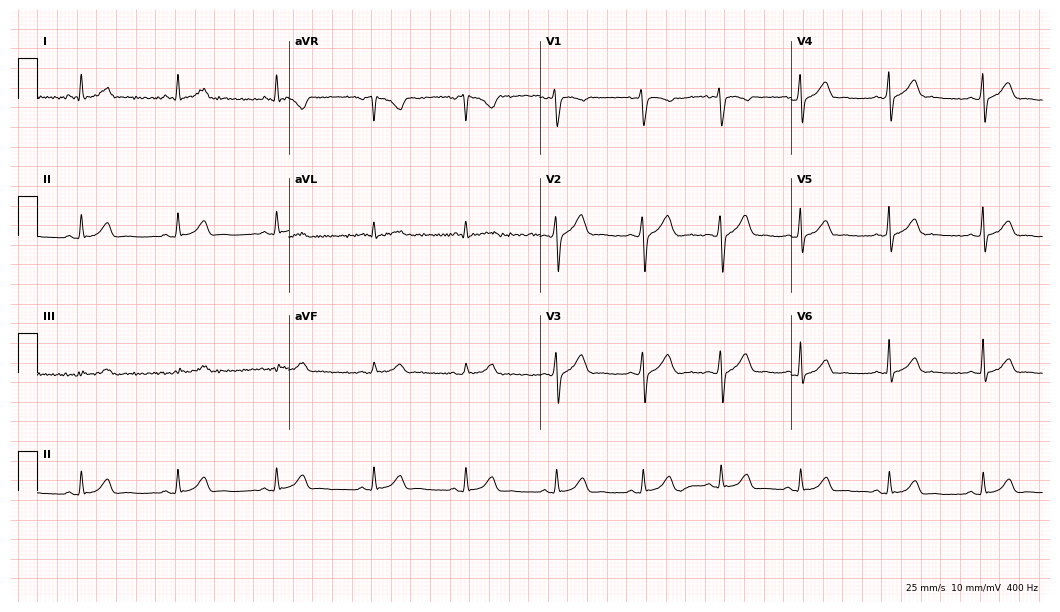
Resting 12-lead electrocardiogram (10.2-second recording at 400 Hz). Patient: a male, 28 years old. Read as a normal ECG.